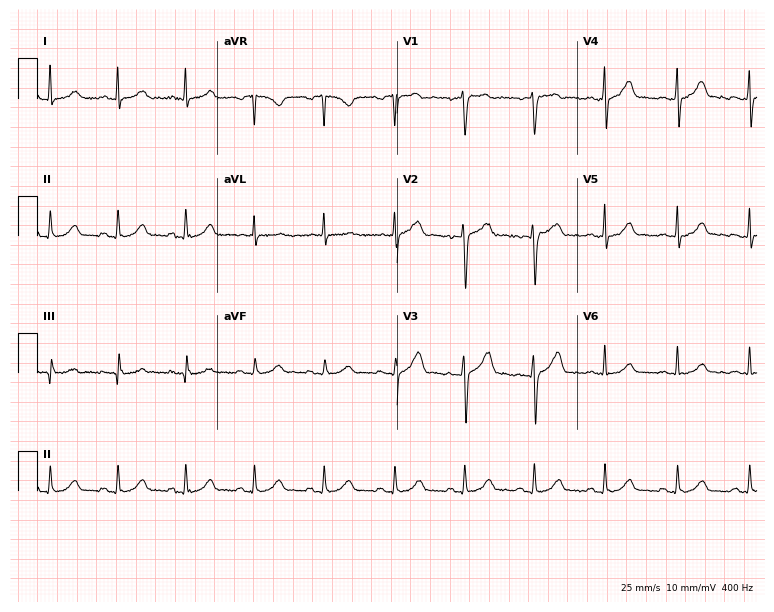
ECG (7.3-second recording at 400 Hz) — a 37-year-old male. Labelled as a normal ECG.